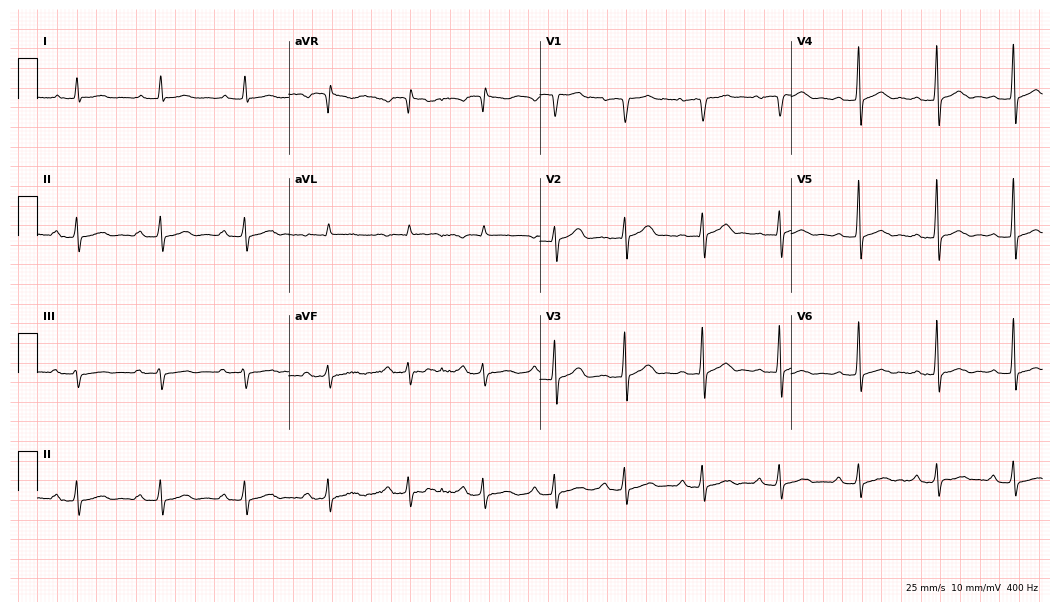
Electrocardiogram, a male, 62 years old. Overall reading on record: normal ECG.